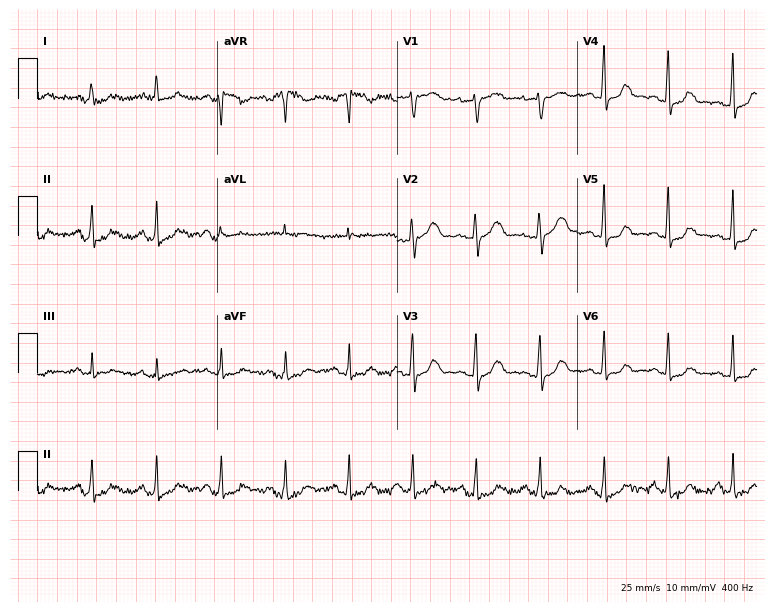
12-lead ECG (7.3-second recording at 400 Hz) from a 65-year-old female. Screened for six findings — first-degree AV block, right bundle branch block, left bundle branch block, sinus bradycardia, atrial fibrillation, sinus tachycardia — none is recorded. Other findings, if any, are not listed.